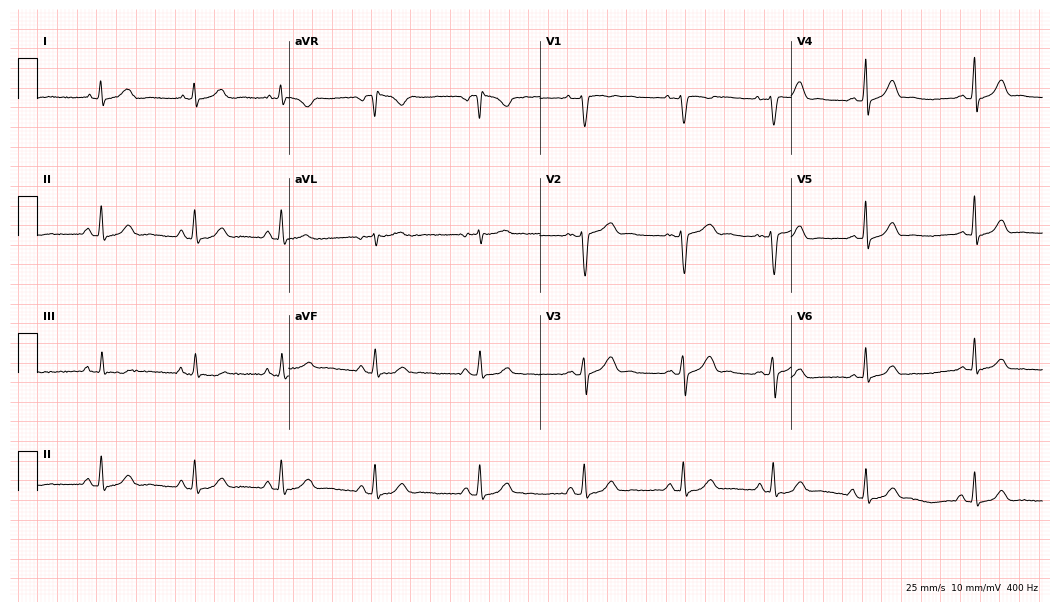
ECG (10.2-second recording at 400 Hz) — a woman, 22 years old. Labelled as a normal ECG.